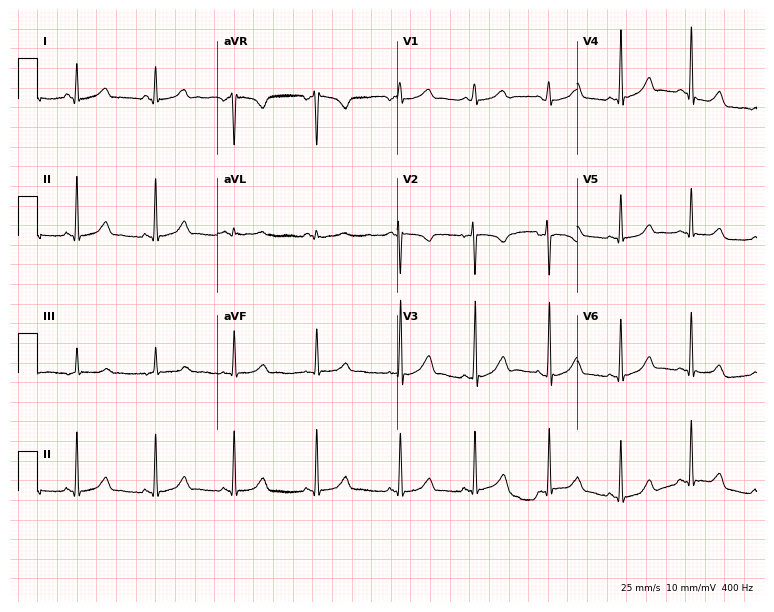
ECG (7.3-second recording at 400 Hz) — a woman, 30 years old. Screened for six findings — first-degree AV block, right bundle branch block, left bundle branch block, sinus bradycardia, atrial fibrillation, sinus tachycardia — none is recorded. Only these six findings were labelled.